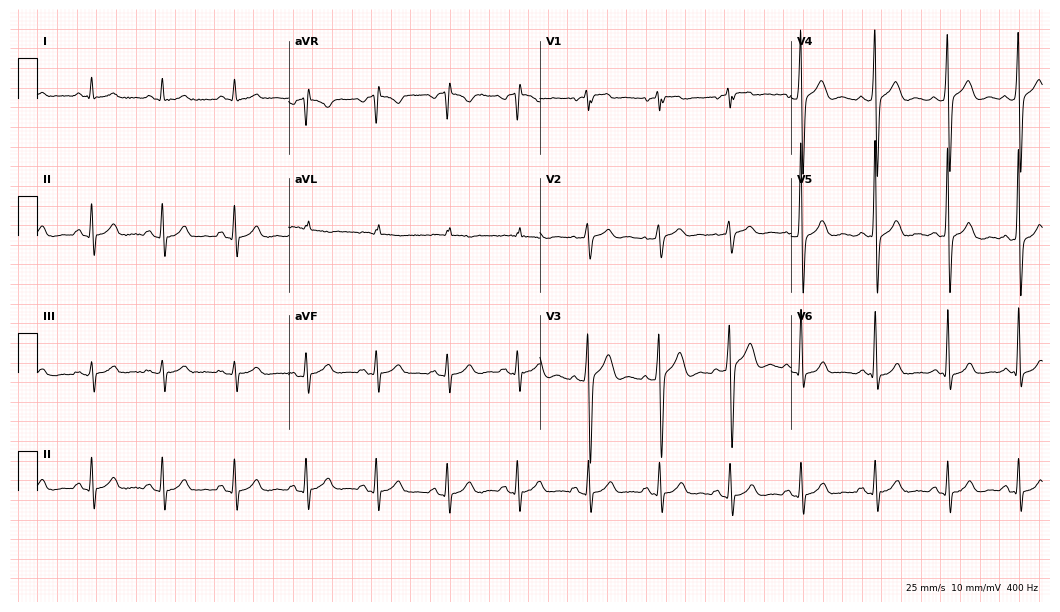
12-lead ECG from a male patient, 63 years old (10.2-second recording at 400 Hz). Recorded interpretation: within normal limits.